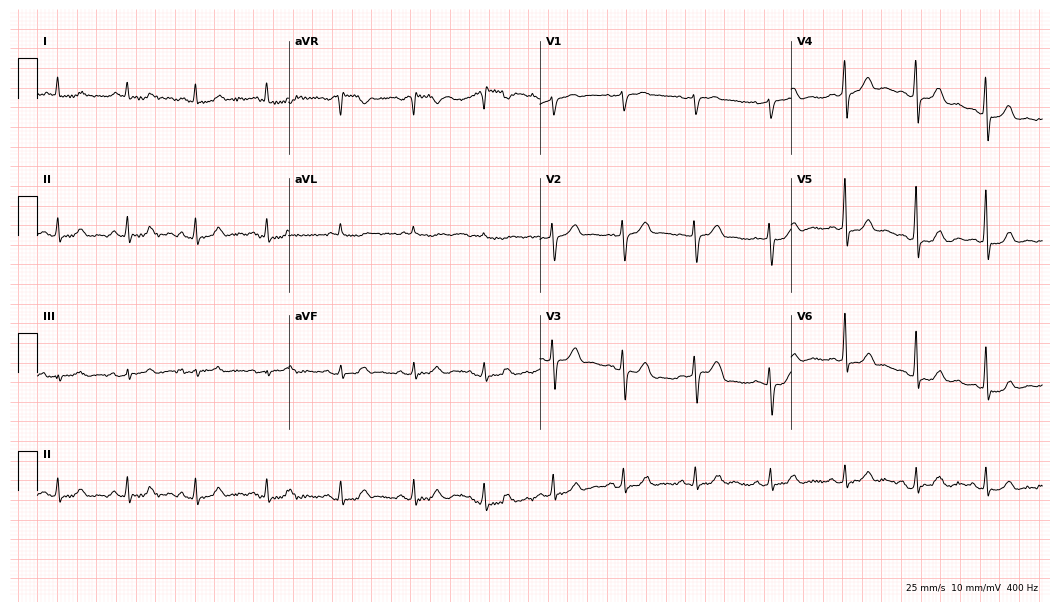
Electrocardiogram (10.2-second recording at 400 Hz), a 62-year-old man. Overall reading on record: normal ECG.